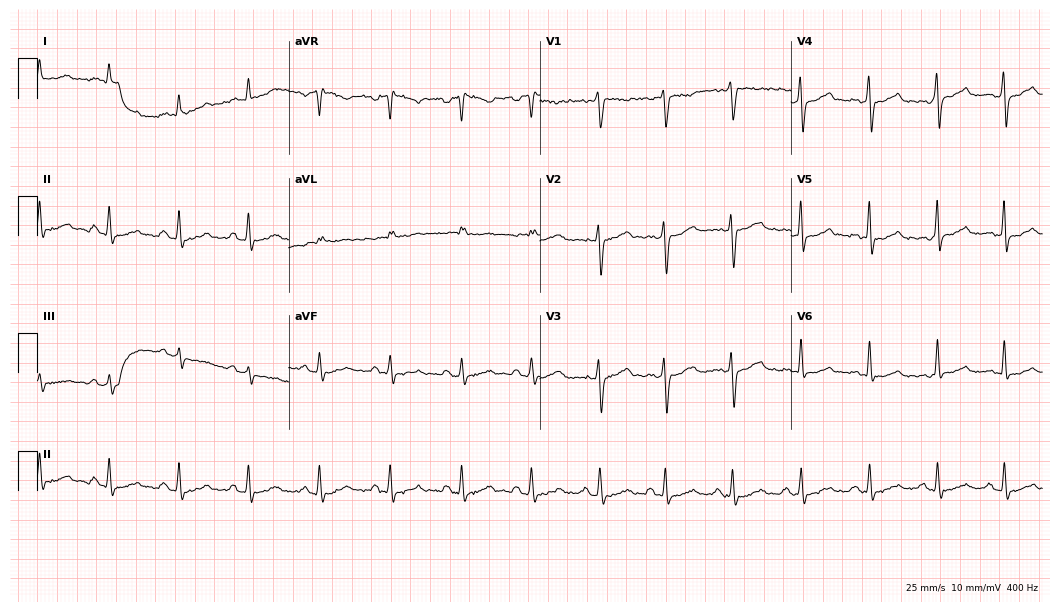
Standard 12-lead ECG recorded from a 52-year-old man (10.2-second recording at 400 Hz). None of these six findings is recorded: first-degree AV block, right bundle branch block, left bundle branch block, sinus bradycardia, atrial fibrillation, sinus tachycardia.